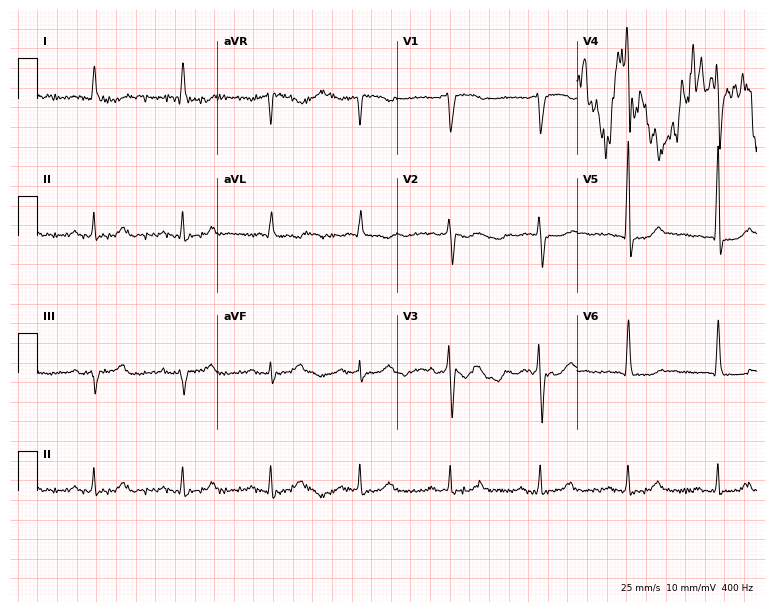
ECG (7.3-second recording at 400 Hz) — a man, 84 years old. Labelled as a normal ECG.